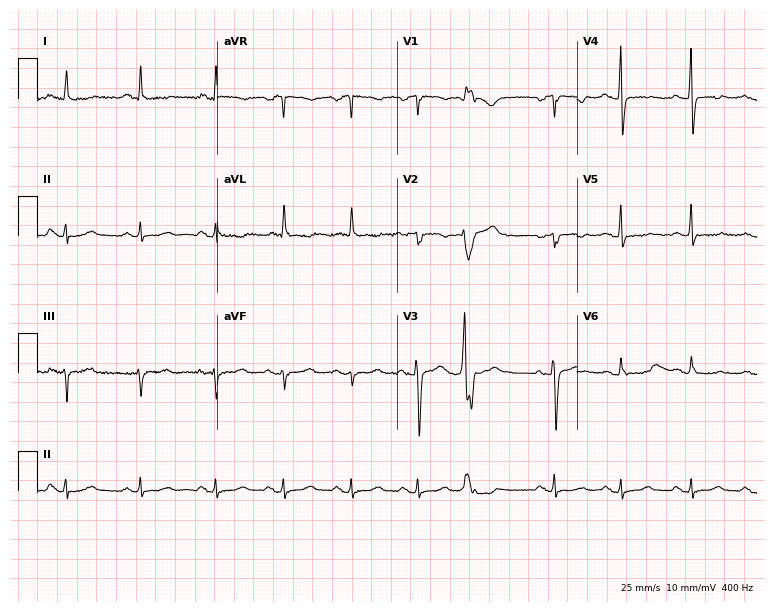
Electrocardiogram, a 61-year-old female. Overall reading on record: normal ECG.